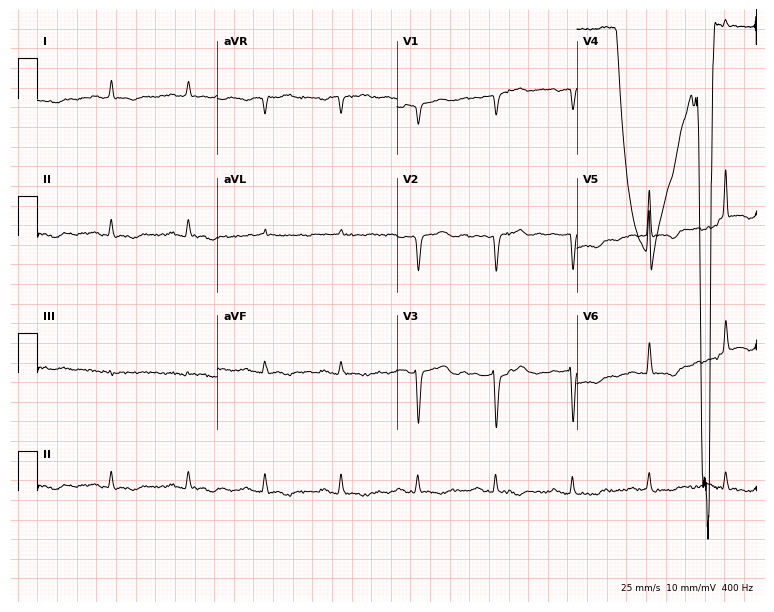
Electrocardiogram (7.3-second recording at 400 Hz), a man, 73 years old. Of the six screened findings (first-degree AV block, right bundle branch block, left bundle branch block, sinus bradycardia, atrial fibrillation, sinus tachycardia), none is recorded.